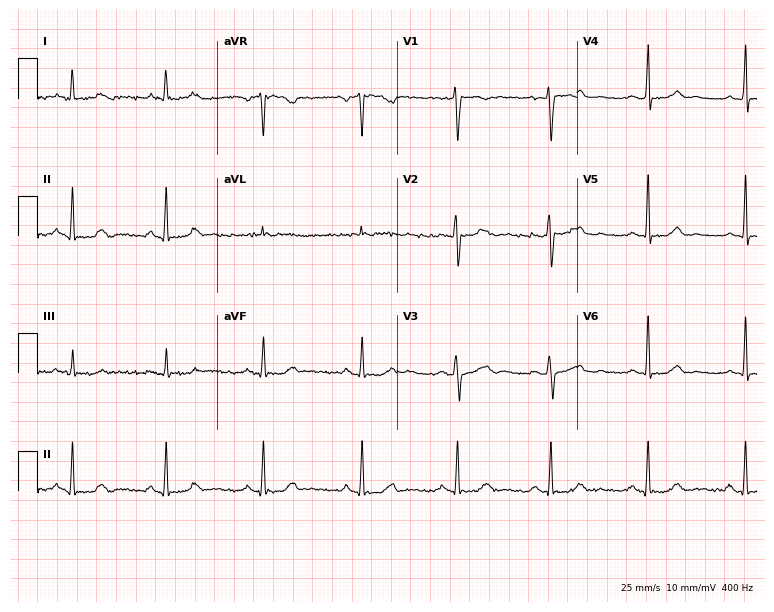
Standard 12-lead ECG recorded from a male, 51 years old (7.3-second recording at 400 Hz). None of these six findings is recorded: first-degree AV block, right bundle branch block, left bundle branch block, sinus bradycardia, atrial fibrillation, sinus tachycardia. Other findings, if any, are not listed.